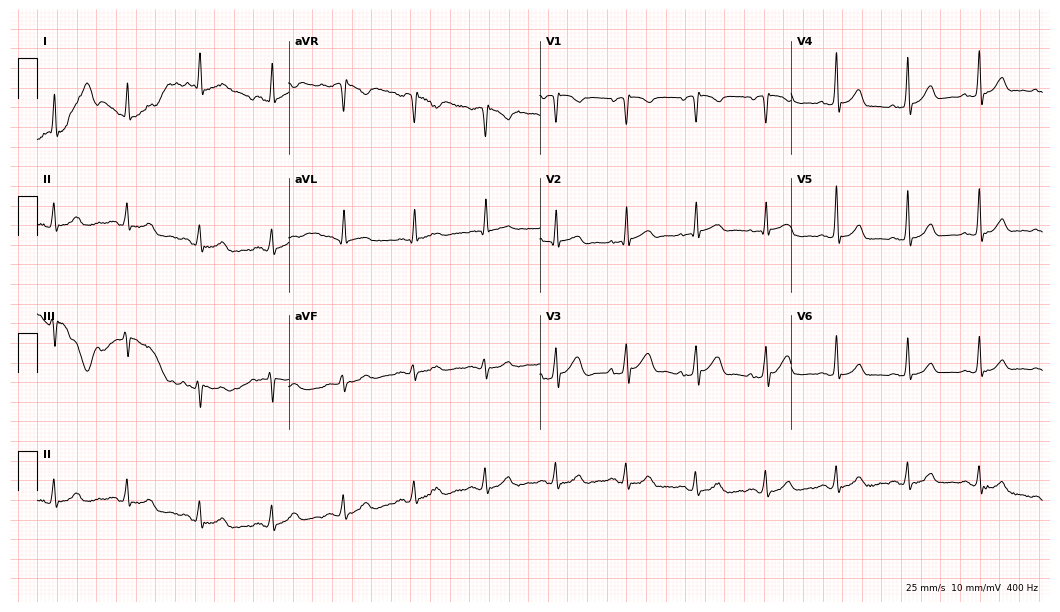
12-lead ECG from a male, 66 years old. Recorded interpretation: within normal limits.